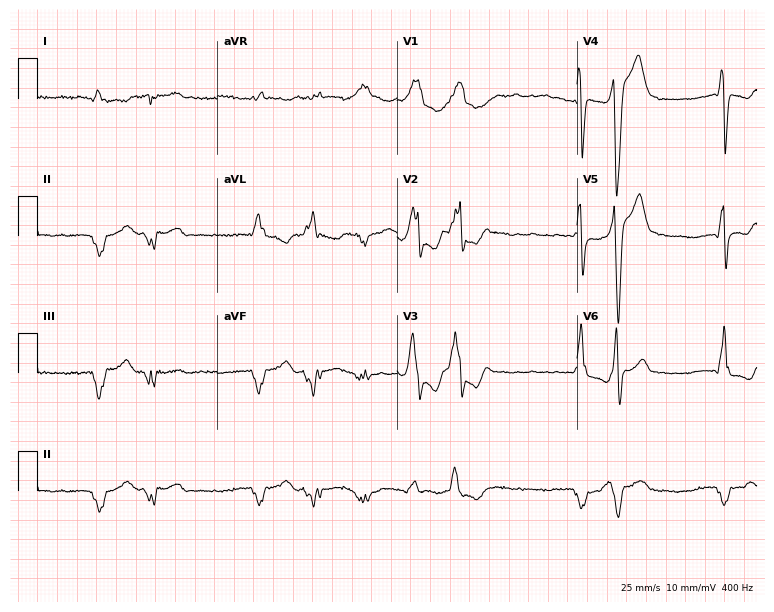
Resting 12-lead electrocardiogram. Patient: a 76-year-old man. None of these six findings is recorded: first-degree AV block, right bundle branch block (RBBB), left bundle branch block (LBBB), sinus bradycardia, atrial fibrillation (AF), sinus tachycardia. Only these six findings were labelled.